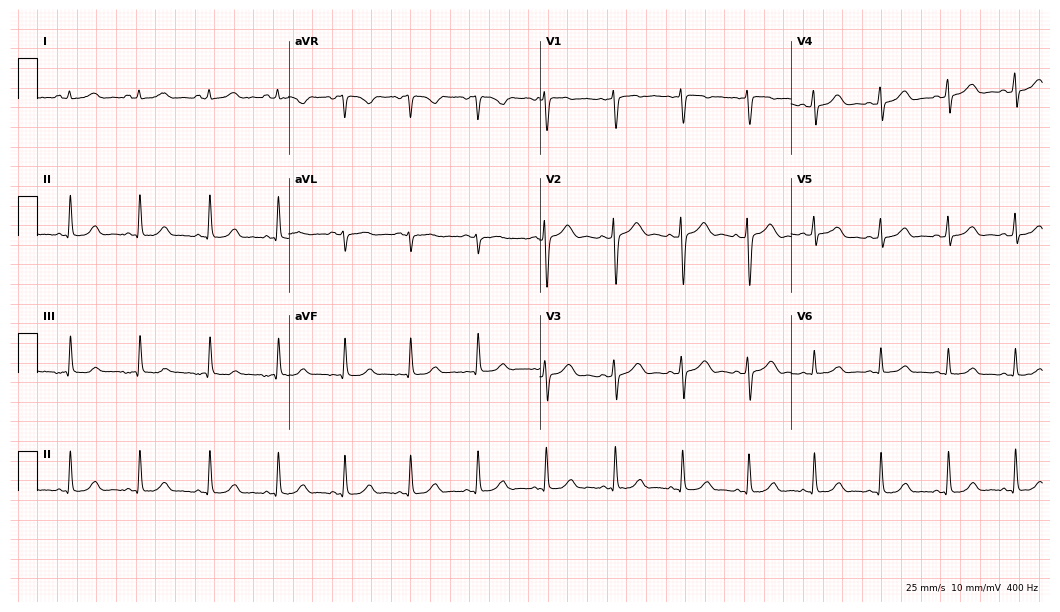
Electrocardiogram (10.2-second recording at 400 Hz), a 31-year-old woman. Overall reading on record: normal ECG.